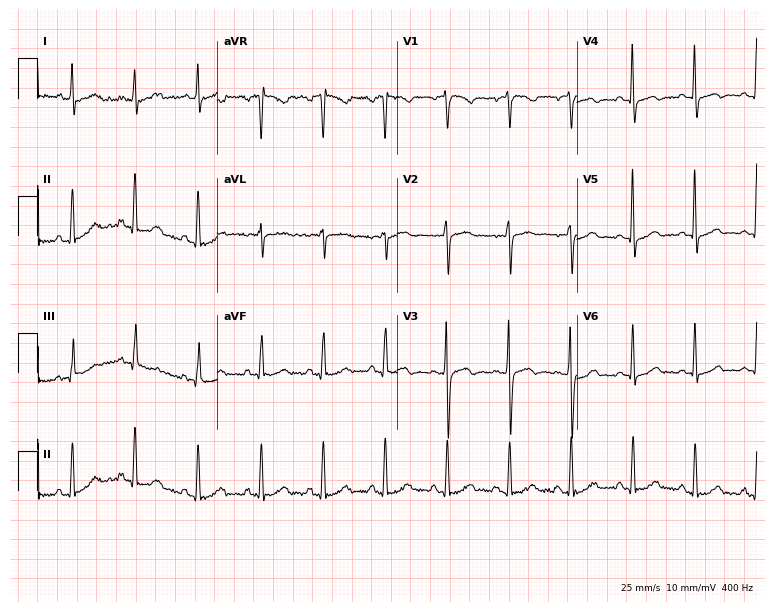
Standard 12-lead ECG recorded from a female, 45 years old (7.3-second recording at 400 Hz). None of these six findings is recorded: first-degree AV block, right bundle branch block, left bundle branch block, sinus bradycardia, atrial fibrillation, sinus tachycardia.